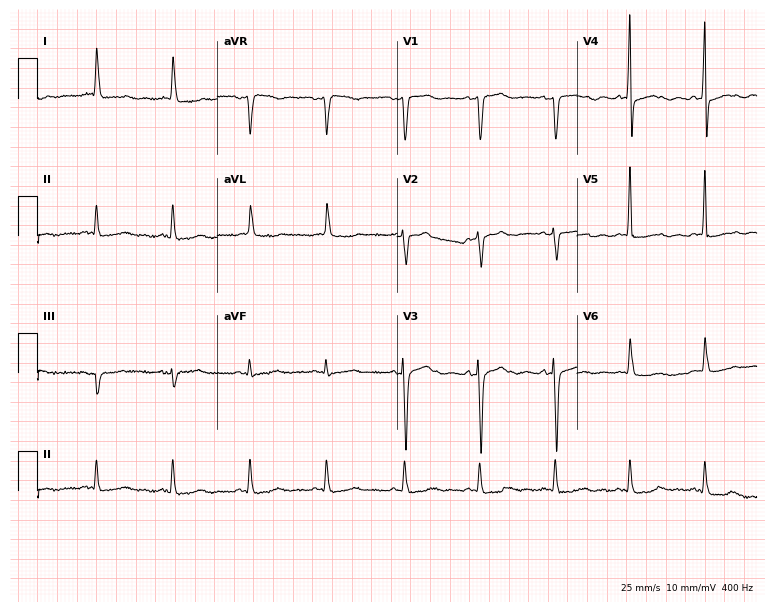
Resting 12-lead electrocardiogram (7.3-second recording at 400 Hz). Patient: a woman, 70 years old. None of these six findings is recorded: first-degree AV block, right bundle branch block, left bundle branch block, sinus bradycardia, atrial fibrillation, sinus tachycardia.